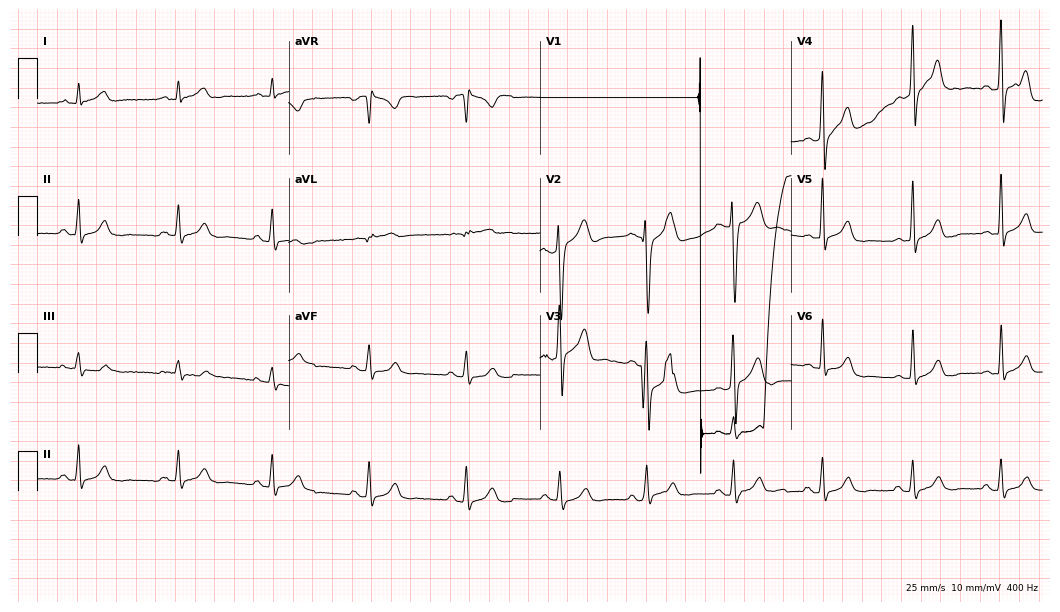
12-lead ECG (10.2-second recording at 400 Hz) from a 40-year-old male. Labelled as a normal ECG.